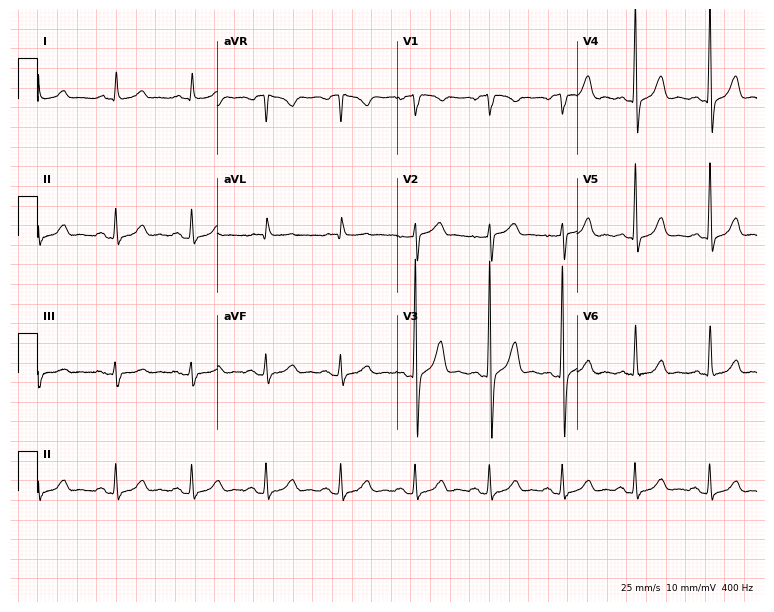
Resting 12-lead electrocardiogram (7.3-second recording at 400 Hz). Patient: a male, 54 years old. Read as a normal ECG.